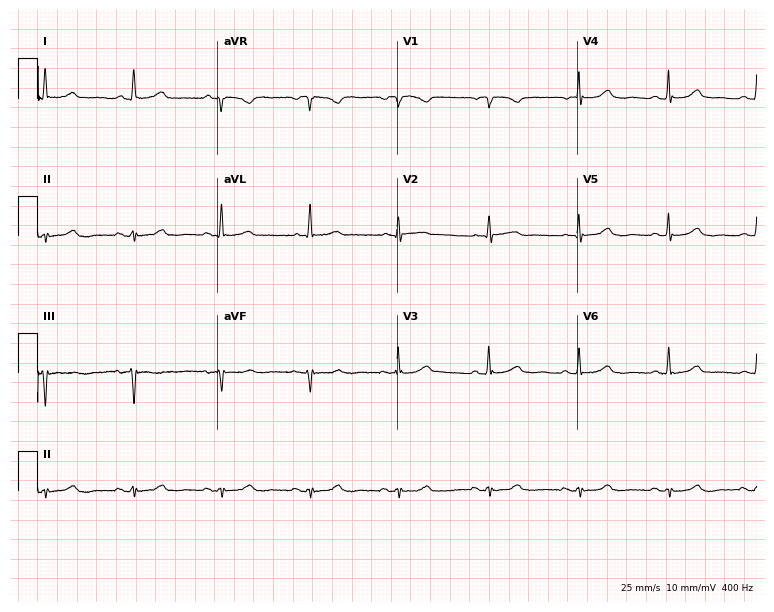
Resting 12-lead electrocardiogram. Patient: a female, 85 years old. Read as a normal ECG.